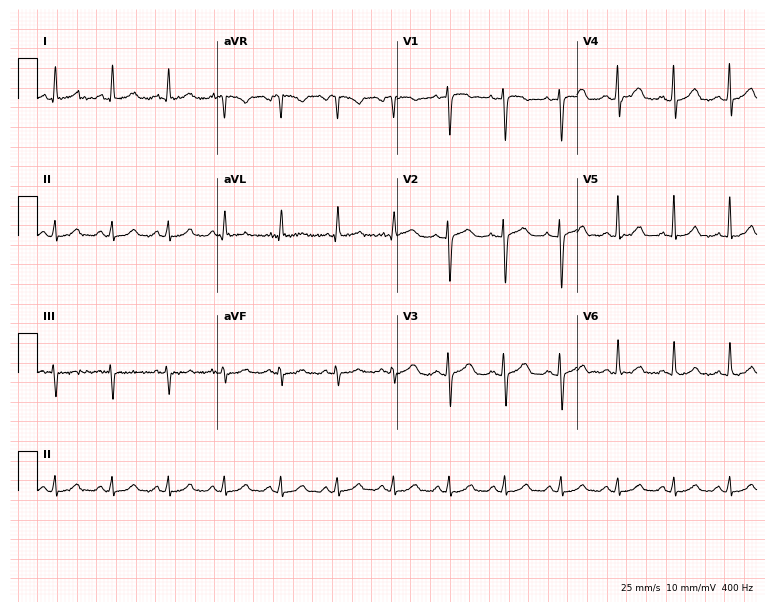
Electrocardiogram, a 54-year-old woman. Interpretation includes sinus tachycardia (a sinus rate of 100 beats per minute or more).